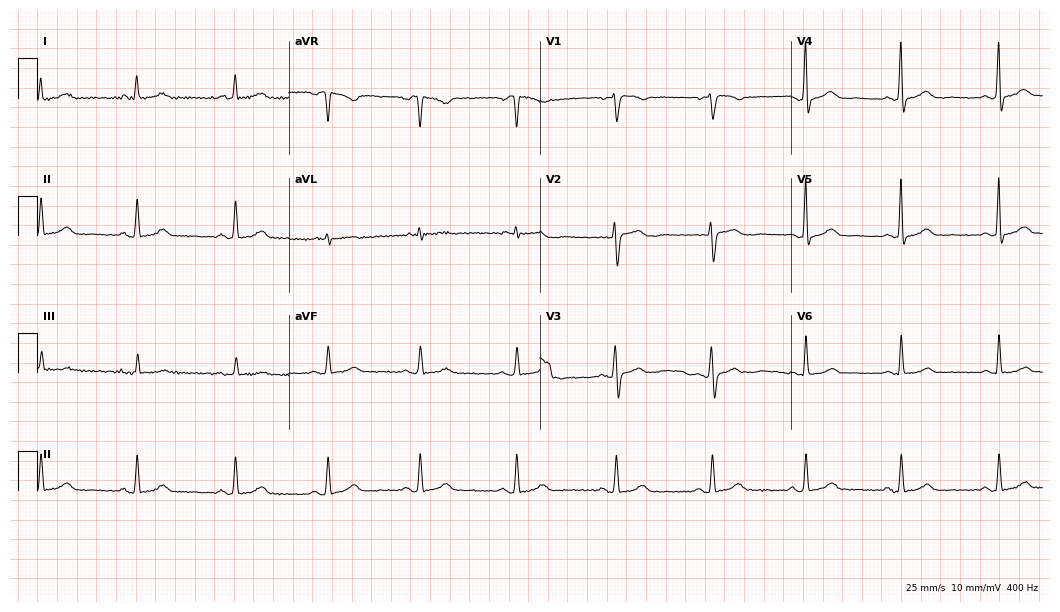
Standard 12-lead ECG recorded from a female patient, 49 years old. Read as a normal ECG.